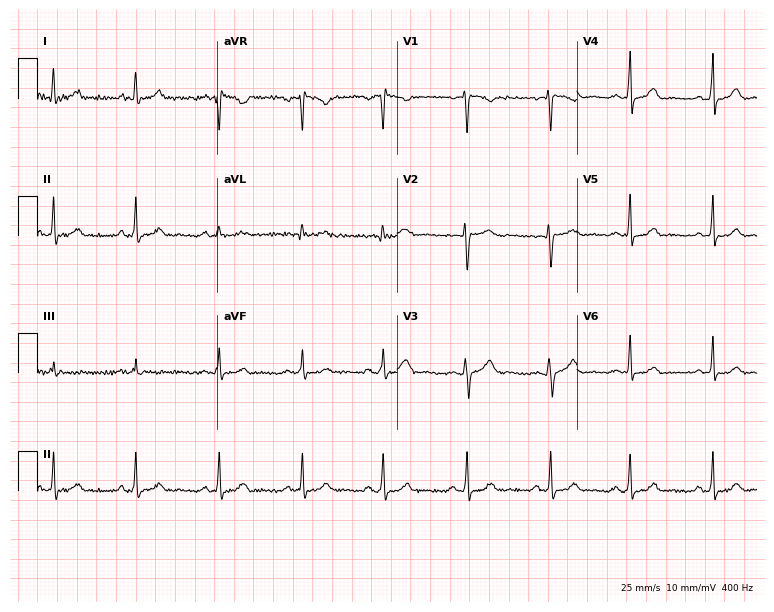
Electrocardiogram, a 24-year-old woman. Of the six screened findings (first-degree AV block, right bundle branch block, left bundle branch block, sinus bradycardia, atrial fibrillation, sinus tachycardia), none is recorded. Other findings, if any, are not listed.